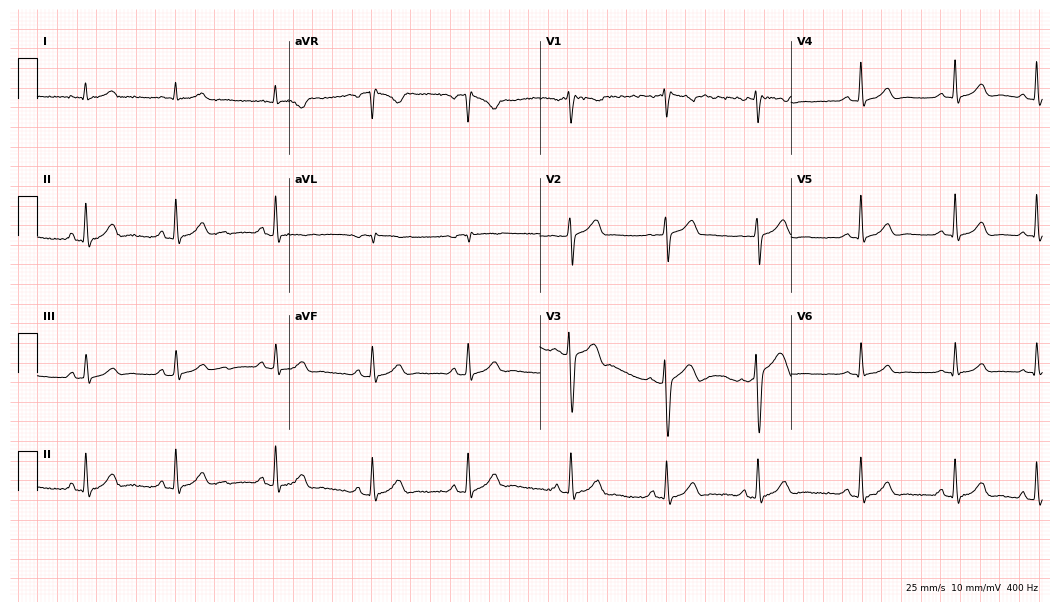
Electrocardiogram, a male patient, 23 years old. Overall reading on record: normal ECG.